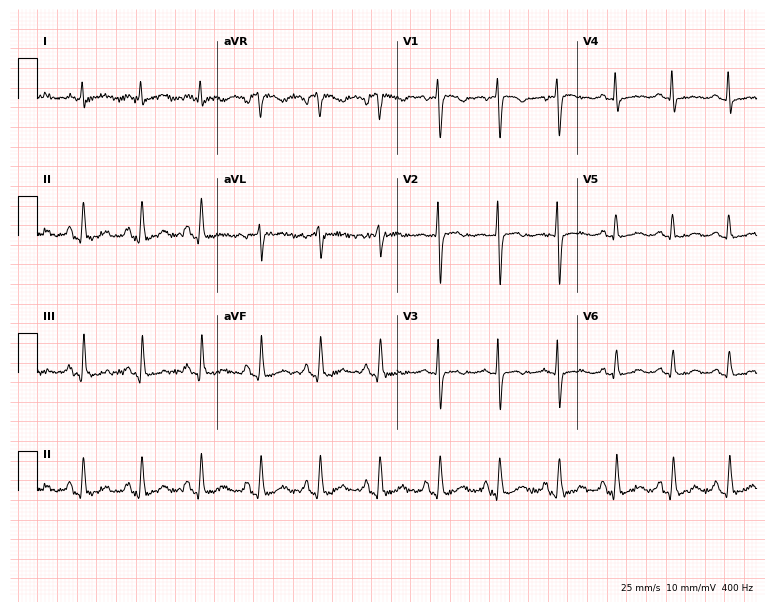
Electrocardiogram, a 42-year-old female patient. Overall reading on record: normal ECG.